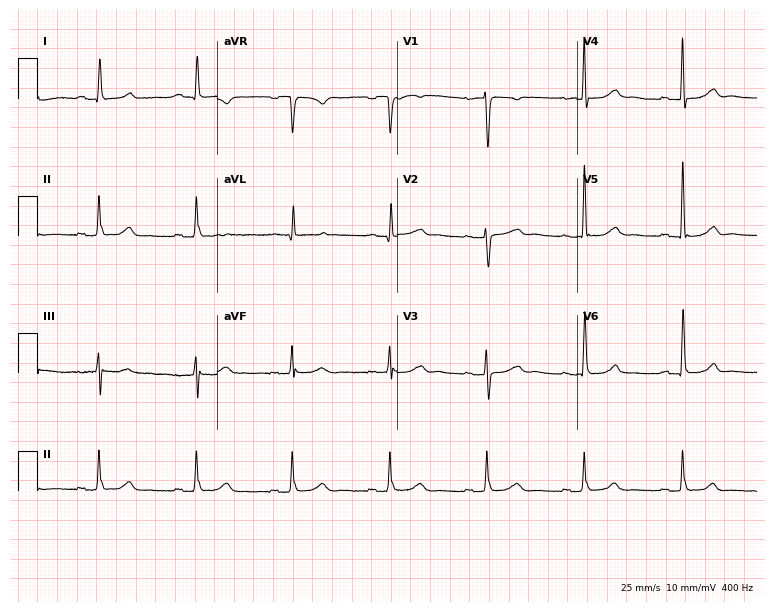
12-lead ECG (7.3-second recording at 400 Hz) from a female, 74 years old. Labelled as a normal ECG.